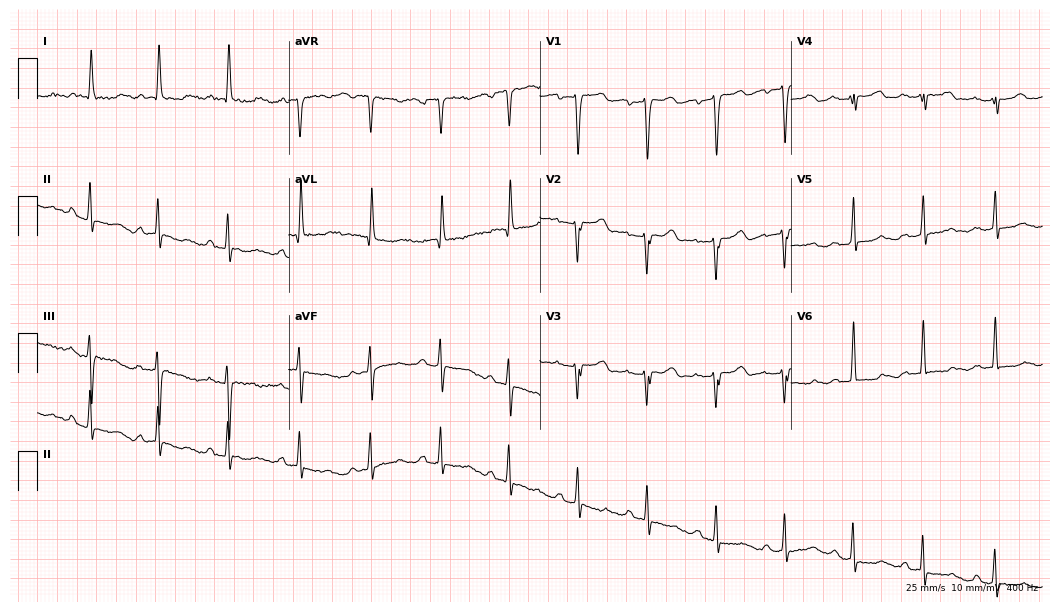
12-lead ECG from a 72-year-old woman. Recorded interpretation: within normal limits.